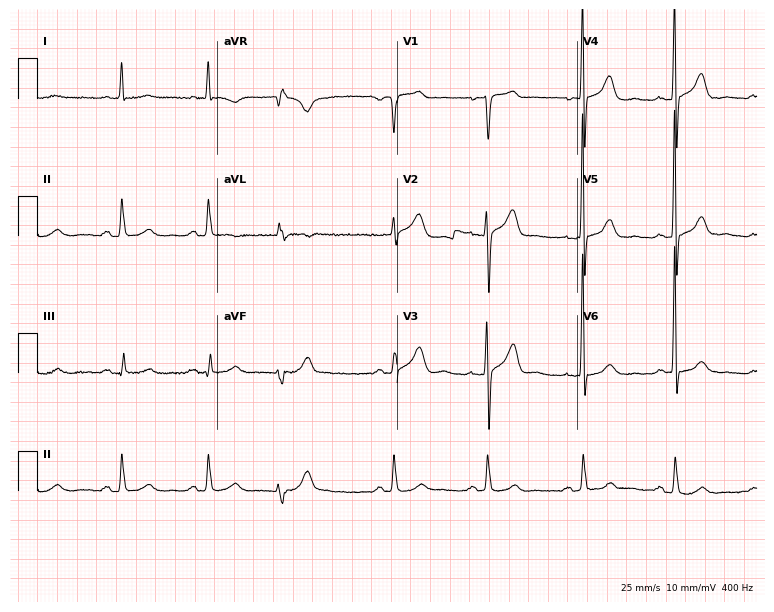
12-lead ECG from a man, 80 years old. No first-degree AV block, right bundle branch block, left bundle branch block, sinus bradycardia, atrial fibrillation or sinus tachycardia recorded for this tracing. Findings outside these six are not listed.